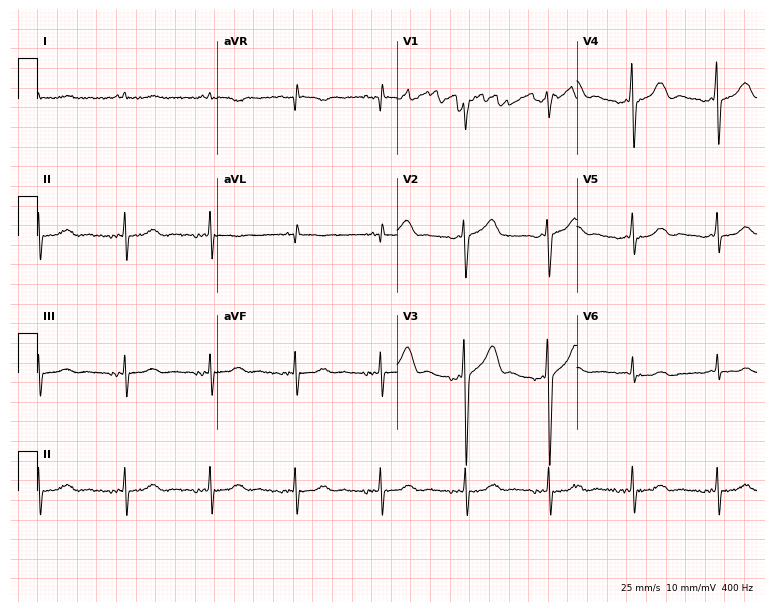
Standard 12-lead ECG recorded from a male, 78 years old (7.3-second recording at 400 Hz). None of these six findings is recorded: first-degree AV block, right bundle branch block, left bundle branch block, sinus bradycardia, atrial fibrillation, sinus tachycardia. Only these six findings were labelled.